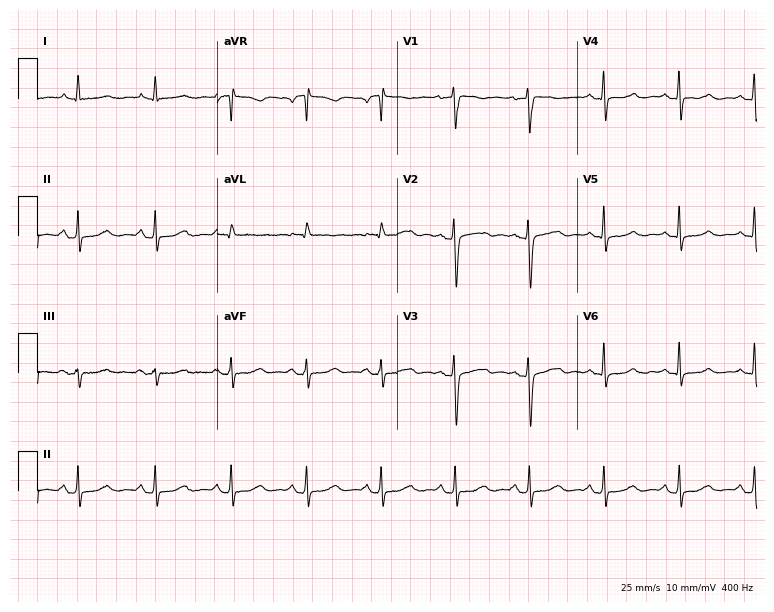
Resting 12-lead electrocardiogram. Patient: a 55-year-old woman. None of these six findings is recorded: first-degree AV block, right bundle branch block, left bundle branch block, sinus bradycardia, atrial fibrillation, sinus tachycardia.